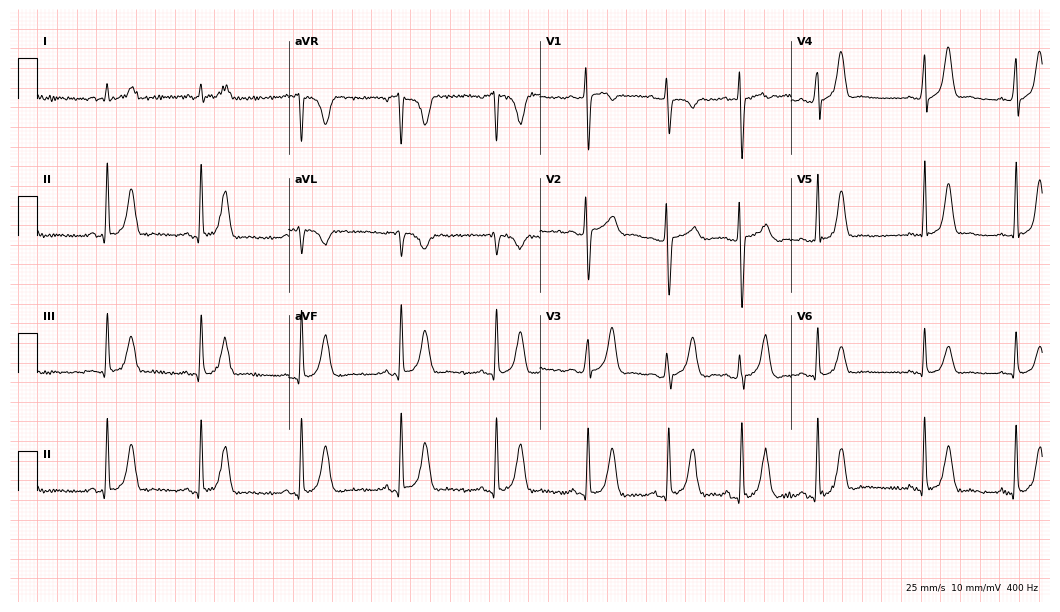
Electrocardiogram (10.2-second recording at 400 Hz), a 21-year-old female patient. Overall reading on record: normal ECG.